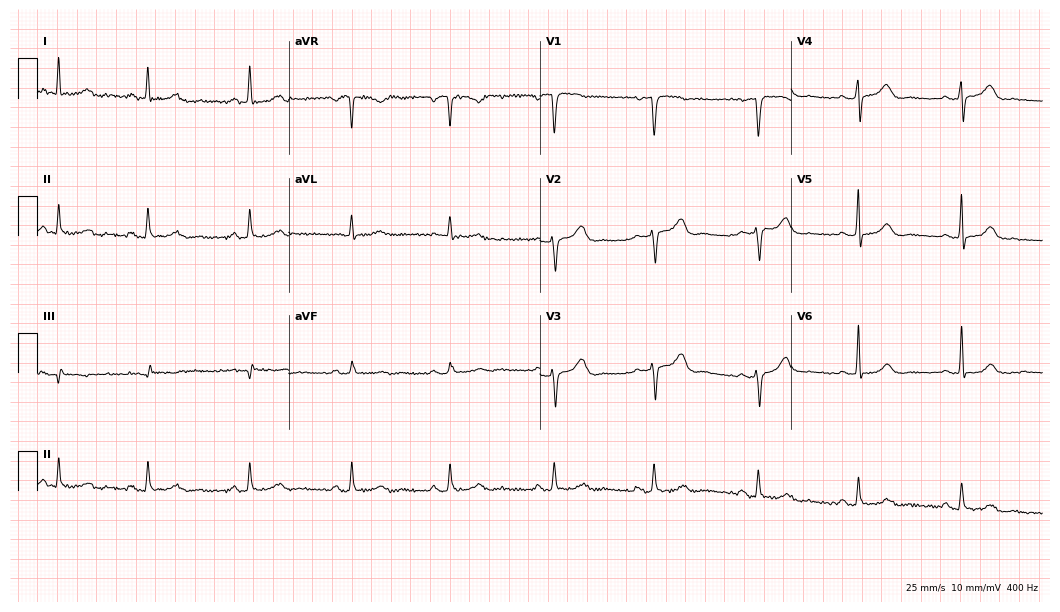
Standard 12-lead ECG recorded from a female, 47 years old. Read as a normal ECG.